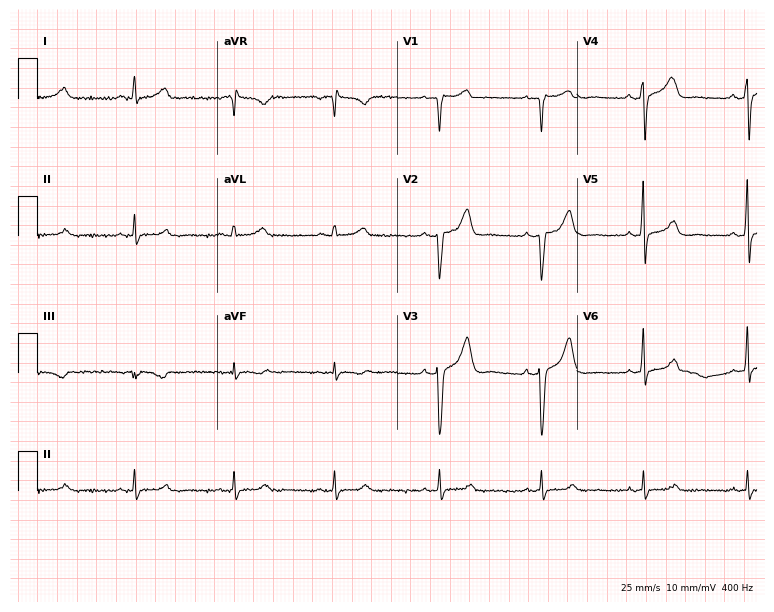
Standard 12-lead ECG recorded from a man, 49 years old (7.3-second recording at 400 Hz). None of these six findings is recorded: first-degree AV block, right bundle branch block, left bundle branch block, sinus bradycardia, atrial fibrillation, sinus tachycardia. Findings outside these six are not listed.